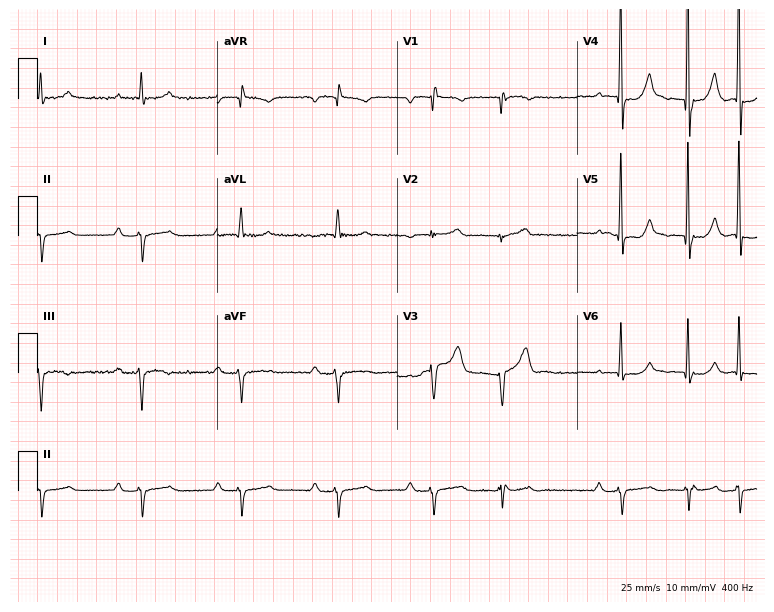
ECG — an 80-year-old man. Findings include first-degree AV block.